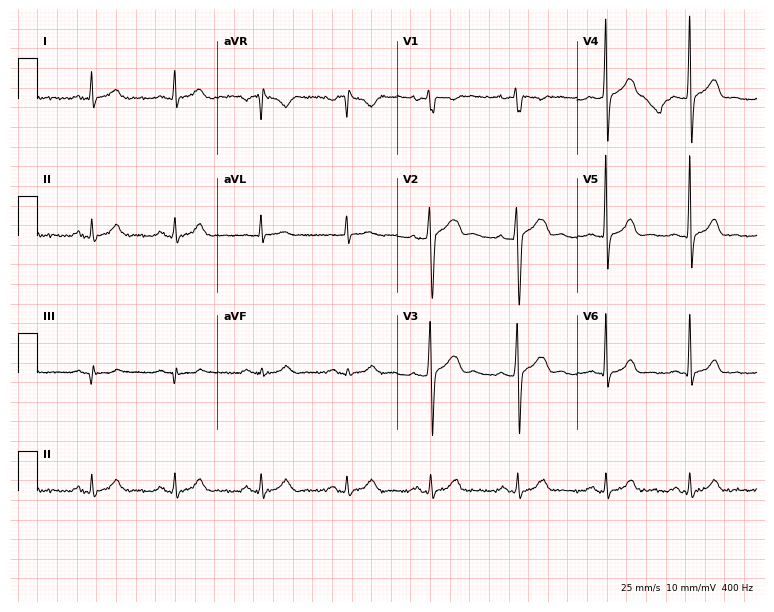
Resting 12-lead electrocardiogram. Patient: a male, 36 years old. None of these six findings is recorded: first-degree AV block, right bundle branch block, left bundle branch block, sinus bradycardia, atrial fibrillation, sinus tachycardia.